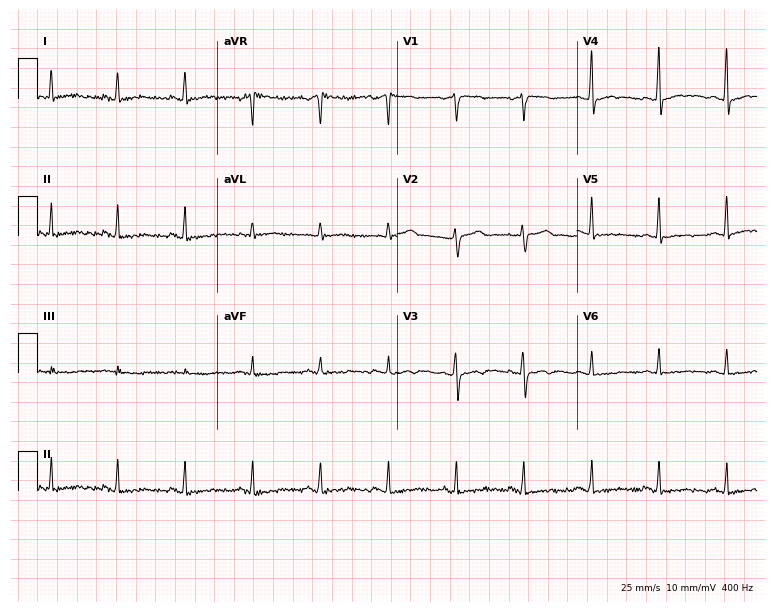
Electrocardiogram, a woman, 49 years old. Of the six screened findings (first-degree AV block, right bundle branch block (RBBB), left bundle branch block (LBBB), sinus bradycardia, atrial fibrillation (AF), sinus tachycardia), none is recorded.